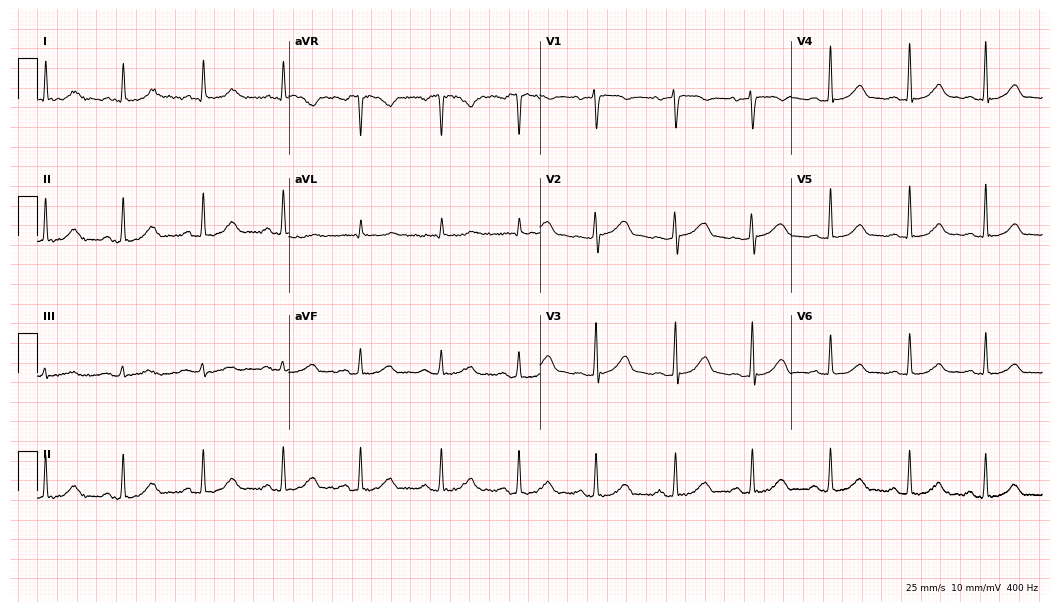
ECG — a woman, 53 years old. Labelled as a normal ECG.